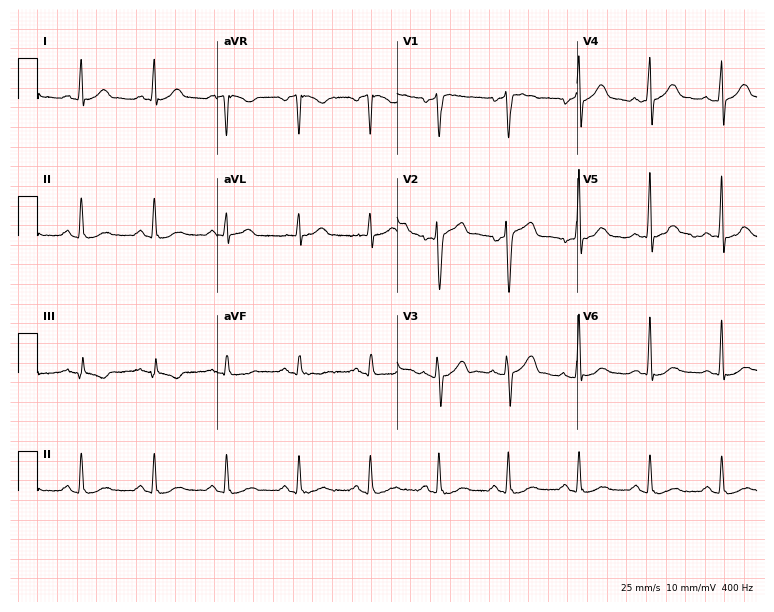
12-lead ECG from a male, 48 years old. Screened for six findings — first-degree AV block, right bundle branch block, left bundle branch block, sinus bradycardia, atrial fibrillation, sinus tachycardia — none is recorded. Only these six findings were labelled.